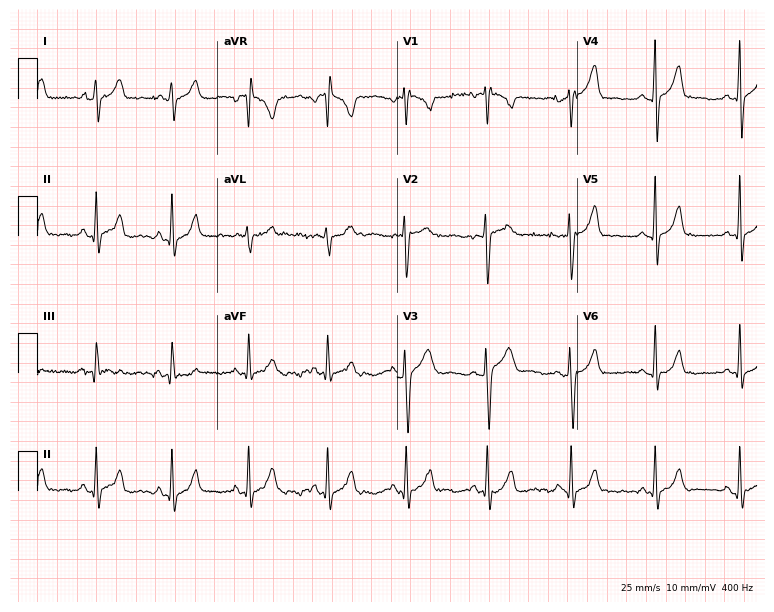
ECG (7.3-second recording at 400 Hz) — a 22-year-old female. Labelled as a normal ECG.